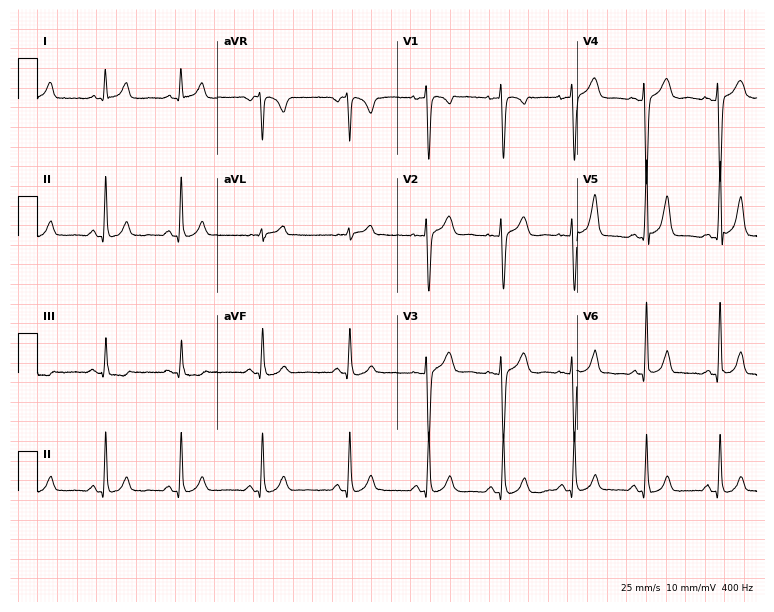
ECG — a woman, 35 years old. Labelled as a normal ECG.